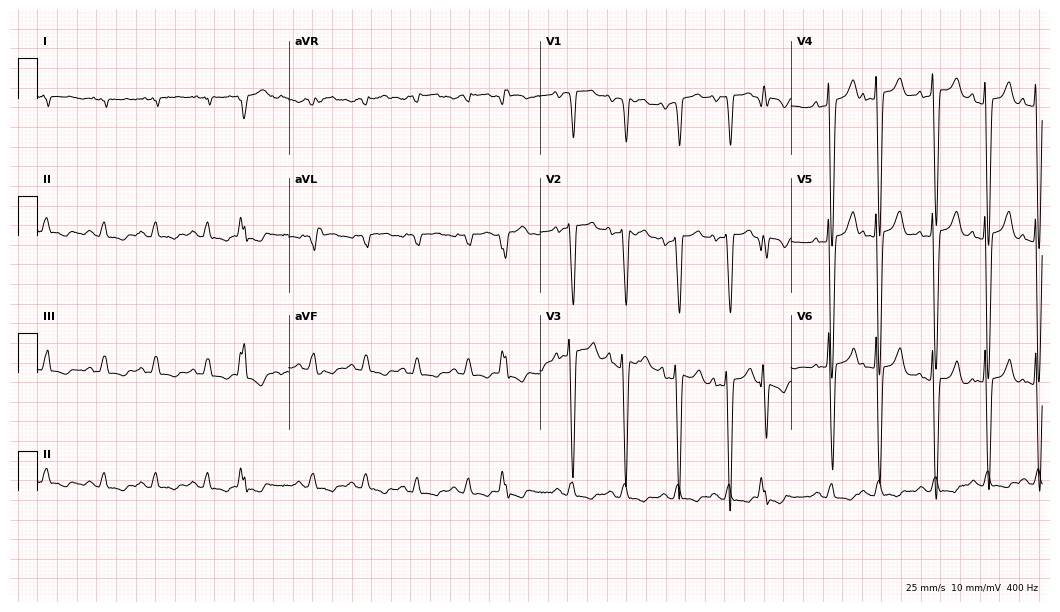
12-lead ECG from a male, 74 years old. Screened for six findings — first-degree AV block, right bundle branch block, left bundle branch block, sinus bradycardia, atrial fibrillation, sinus tachycardia — none is recorded. Findings outside these six are not listed.